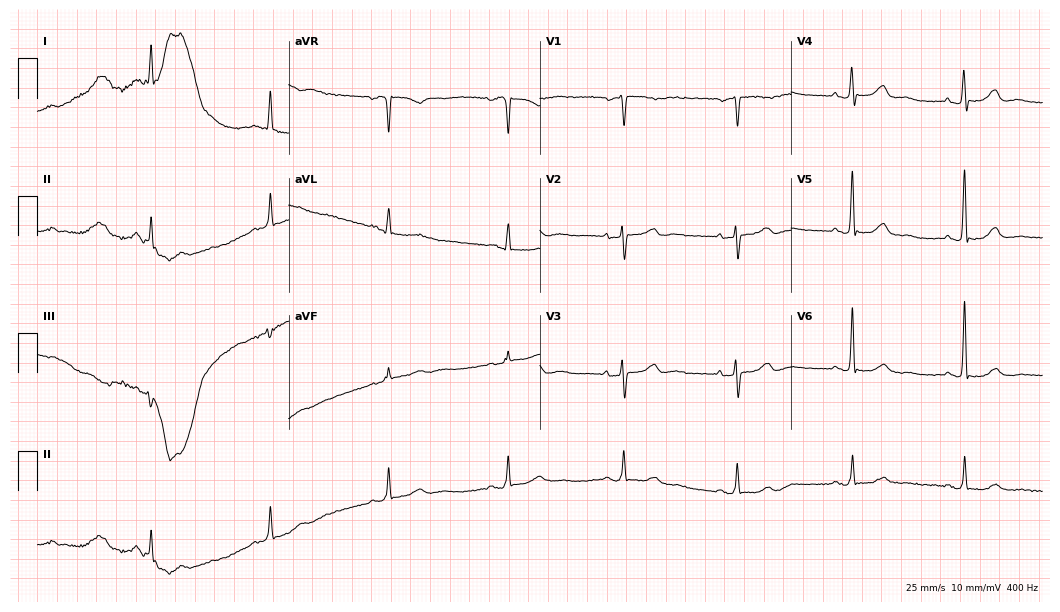
12-lead ECG from a female patient, 69 years old. No first-degree AV block, right bundle branch block, left bundle branch block, sinus bradycardia, atrial fibrillation or sinus tachycardia recorded for this tracing.